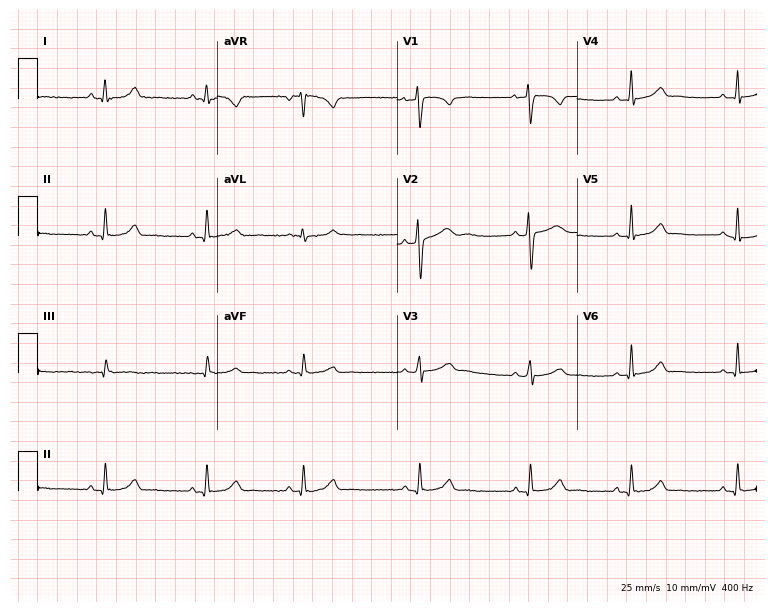
Standard 12-lead ECG recorded from a 25-year-old woman. None of these six findings is recorded: first-degree AV block, right bundle branch block, left bundle branch block, sinus bradycardia, atrial fibrillation, sinus tachycardia. Other findings, if any, are not listed.